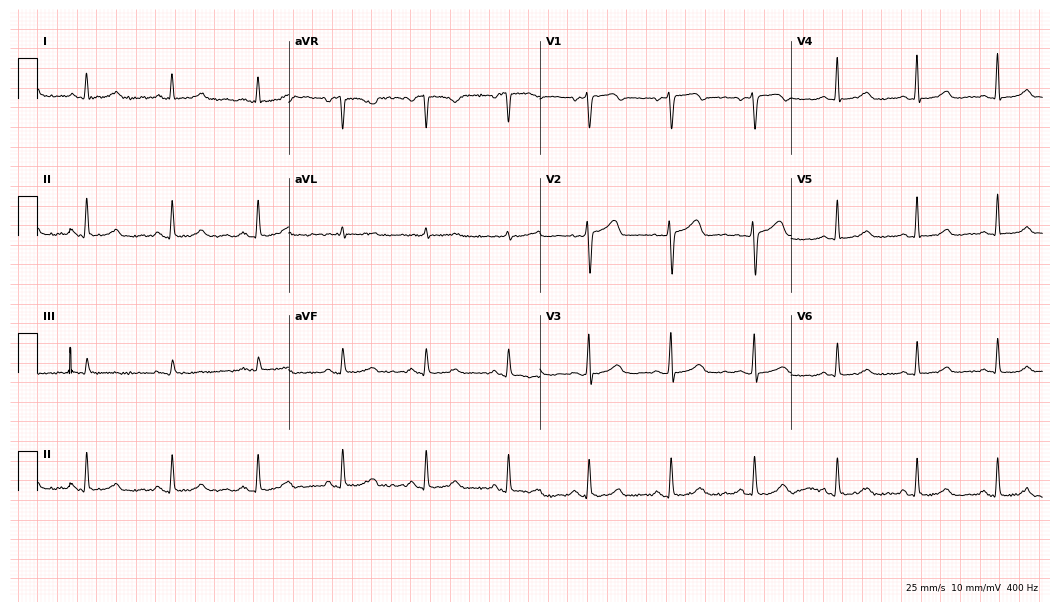
12-lead ECG from a 47-year-old female. Screened for six findings — first-degree AV block, right bundle branch block (RBBB), left bundle branch block (LBBB), sinus bradycardia, atrial fibrillation (AF), sinus tachycardia — none is recorded.